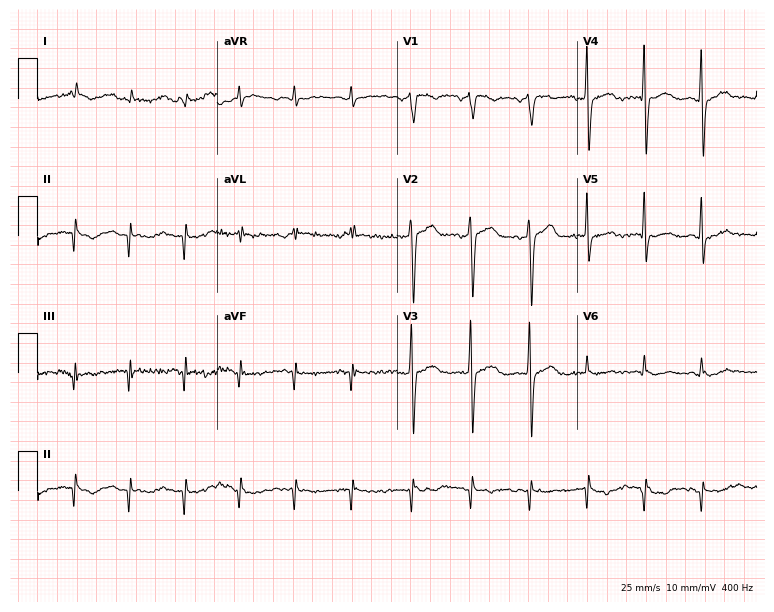
Resting 12-lead electrocardiogram. Patient: a 45-year-old female. None of these six findings is recorded: first-degree AV block, right bundle branch block, left bundle branch block, sinus bradycardia, atrial fibrillation, sinus tachycardia. Other findings, if any, are not listed.